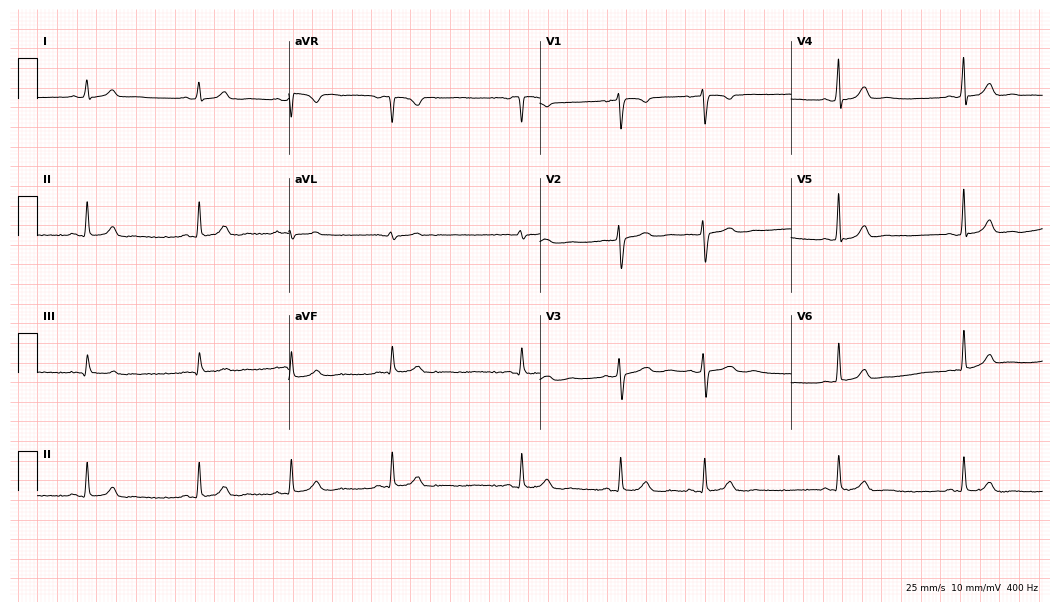
Electrocardiogram (10.2-second recording at 400 Hz), an 18-year-old female. Overall reading on record: normal ECG.